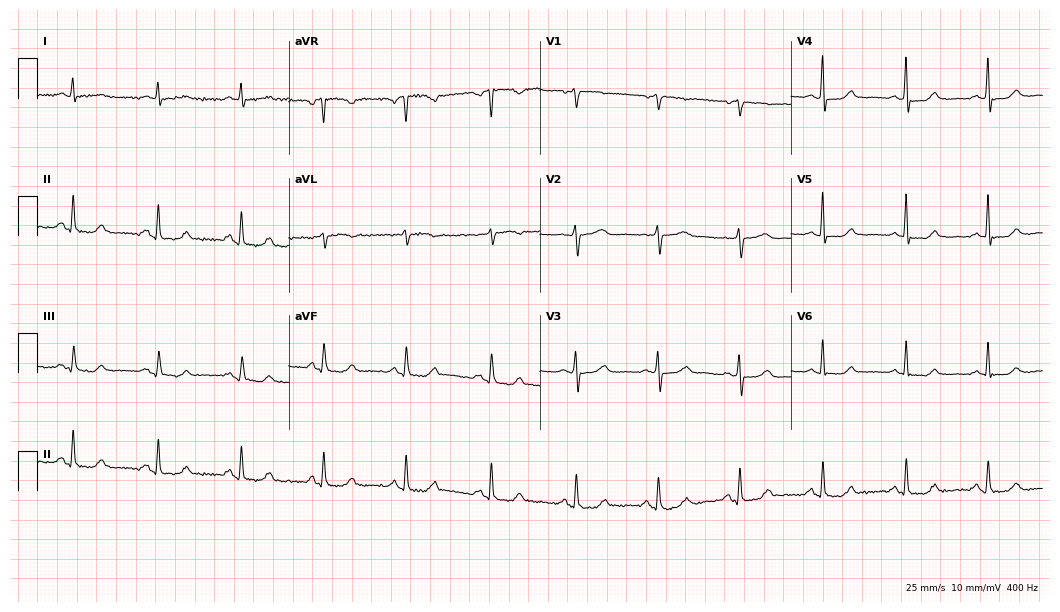
12-lead ECG from a female, 58 years old. No first-degree AV block, right bundle branch block, left bundle branch block, sinus bradycardia, atrial fibrillation or sinus tachycardia recorded for this tracing. Only these six findings were labelled.